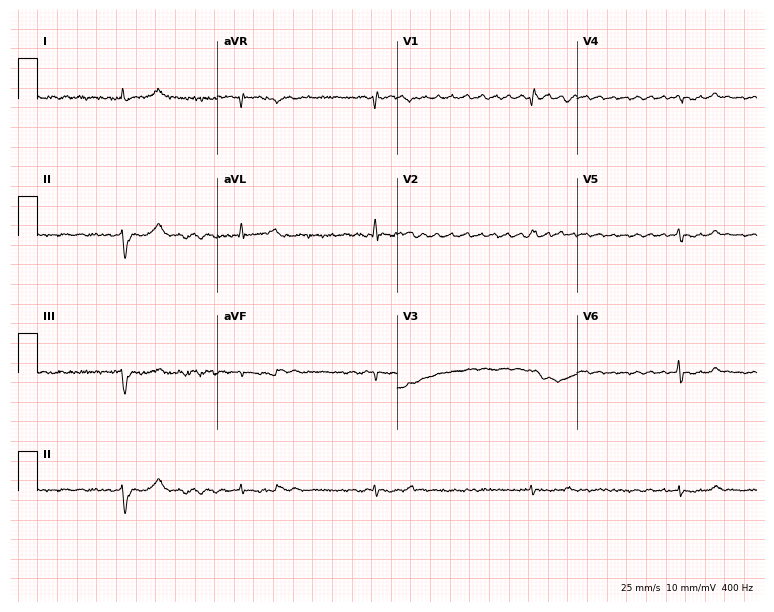
Electrocardiogram, an 82-year-old female patient. Interpretation includes atrial fibrillation.